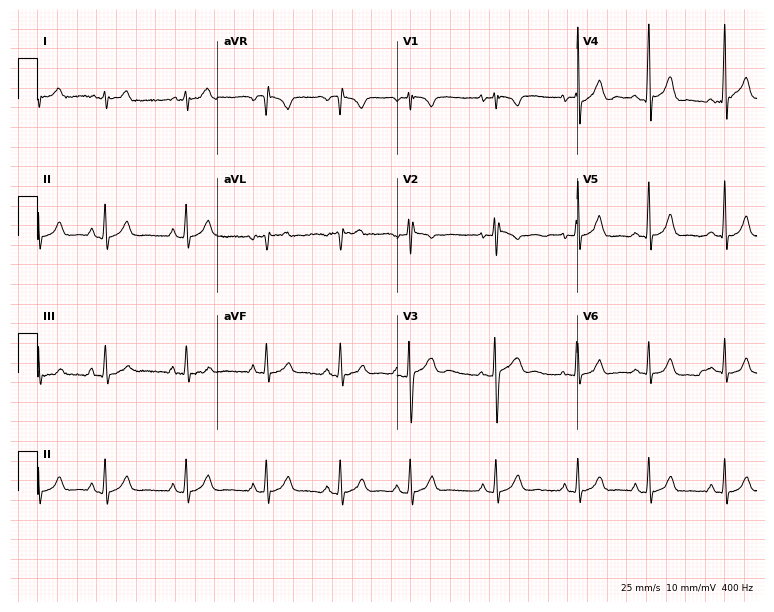
Standard 12-lead ECG recorded from a male patient, 18 years old (7.3-second recording at 400 Hz). Read as a normal ECG.